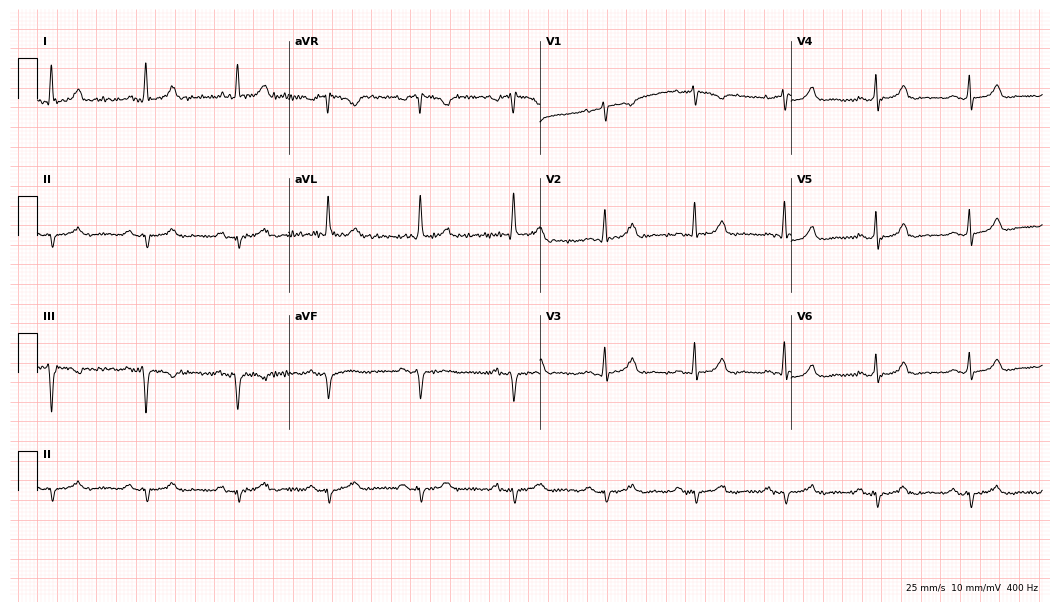
Standard 12-lead ECG recorded from a 62-year-old female patient (10.2-second recording at 400 Hz). None of these six findings is recorded: first-degree AV block, right bundle branch block, left bundle branch block, sinus bradycardia, atrial fibrillation, sinus tachycardia. Findings outside these six are not listed.